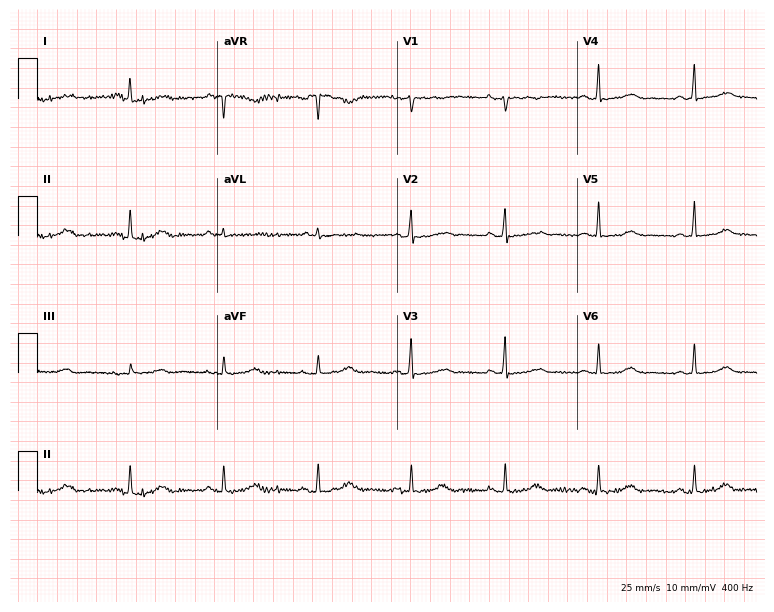
Standard 12-lead ECG recorded from a 41-year-old female (7.3-second recording at 400 Hz). None of these six findings is recorded: first-degree AV block, right bundle branch block (RBBB), left bundle branch block (LBBB), sinus bradycardia, atrial fibrillation (AF), sinus tachycardia. Only these six findings were labelled.